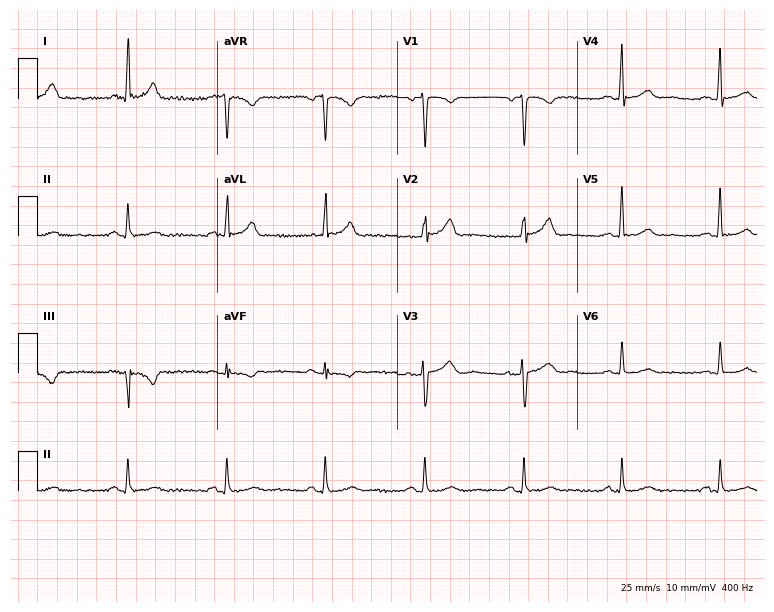
12-lead ECG from a 69-year-old male patient. No first-degree AV block, right bundle branch block, left bundle branch block, sinus bradycardia, atrial fibrillation or sinus tachycardia recorded for this tracing.